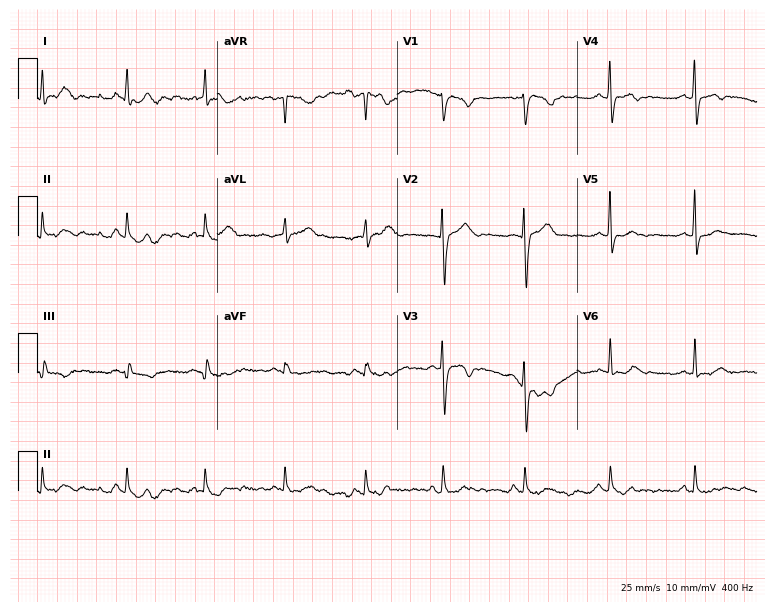
12-lead ECG (7.3-second recording at 400 Hz) from a 27-year-old female patient. Screened for six findings — first-degree AV block, right bundle branch block (RBBB), left bundle branch block (LBBB), sinus bradycardia, atrial fibrillation (AF), sinus tachycardia — none is recorded. Other findings, if any, are not listed.